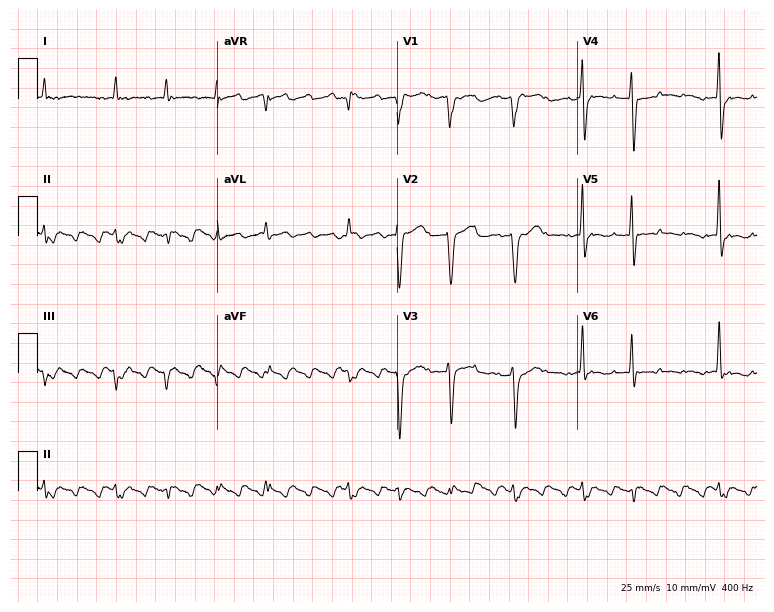
12-lead ECG from an 83-year-old man. Screened for six findings — first-degree AV block, right bundle branch block, left bundle branch block, sinus bradycardia, atrial fibrillation, sinus tachycardia — none is recorded. Only these six findings were labelled.